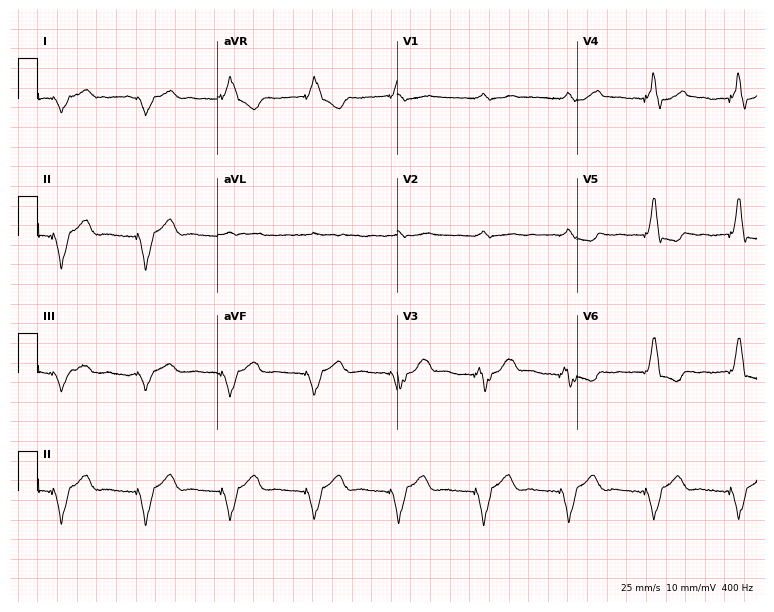
Standard 12-lead ECG recorded from an 83-year-old female (7.3-second recording at 400 Hz). None of these six findings is recorded: first-degree AV block, right bundle branch block (RBBB), left bundle branch block (LBBB), sinus bradycardia, atrial fibrillation (AF), sinus tachycardia.